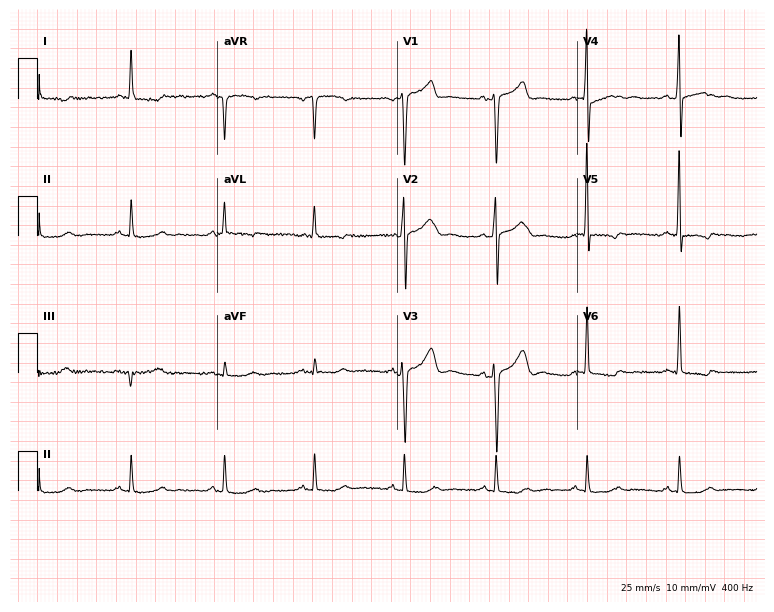
Standard 12-lead ECG recorded from a 45-year-old male patient (7.3-second recording at 400 Hz). None of these six findings is recorded: first-degree AV block, right bundle branch block (RBBB), left bundle branch block (LBBB), sinus bradycardia, atrial fibrillation (AF), sinus tachycardia. Only these six findings were labelled.